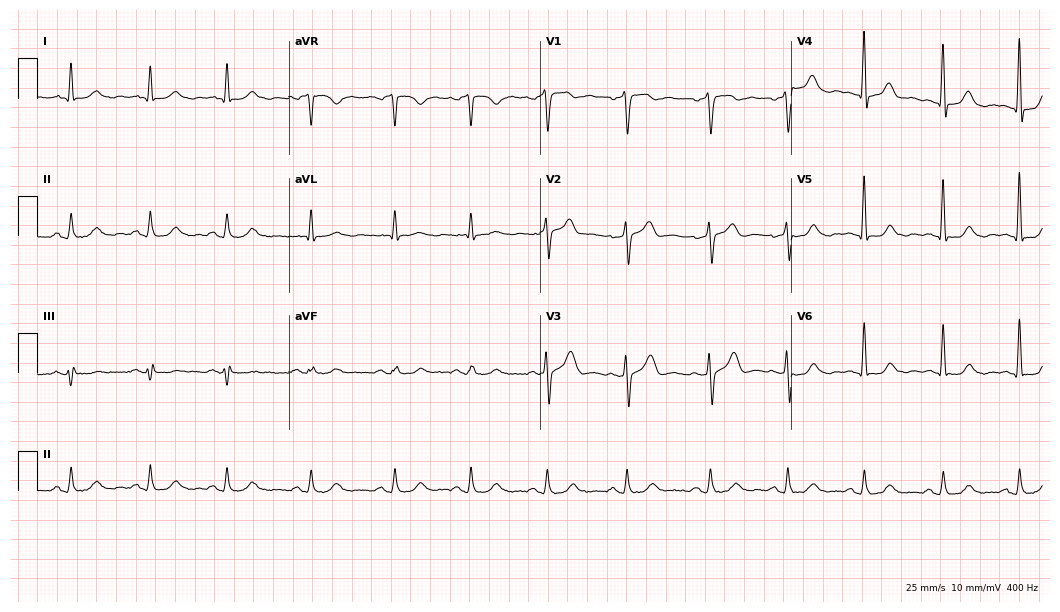
Resting 12-lead electrocardiogram. Patient: a man, 47 years old. Read as a normal ECG.